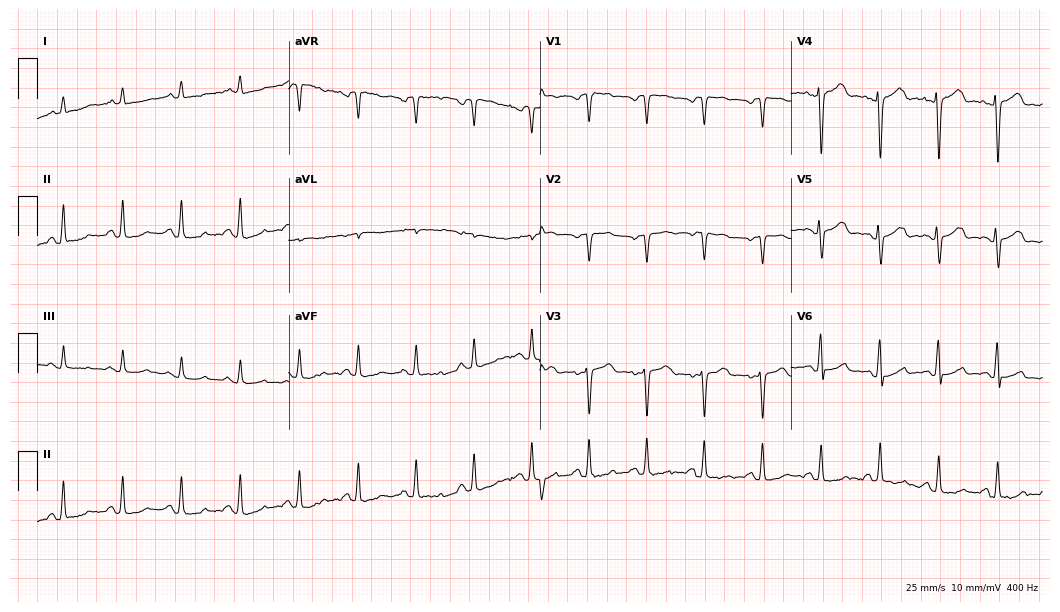
Electrocardiogram (10.2-second recording at 400 Hz), a female patient, 56 years old. Of the six screened findings (first-degree AV block, right bundle branch block (RBBB), left bundle branch block (LBBB), sinus bradycardia, atrial fibrillation (AF), sinus tachycardia), none is recorded. Only these six findings were labelled.